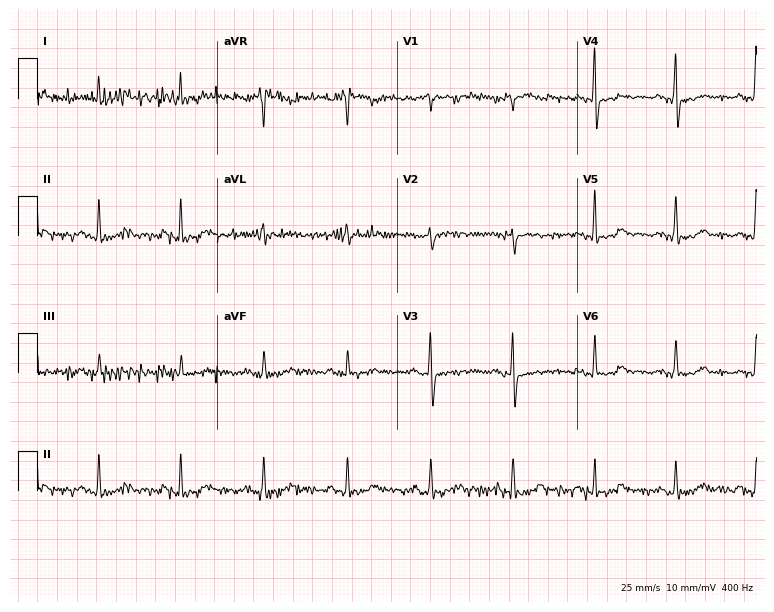
Electrocardiogram, a 66-year-old female. Of the six screened findings (first-degree AV block, right bundle branch block (RBBB), left bundle branch block (LBBB), sinus bradycardia, atrial fibrillation (AF), sinus tachycardia), none is recorded. Only these six findings were labelled.